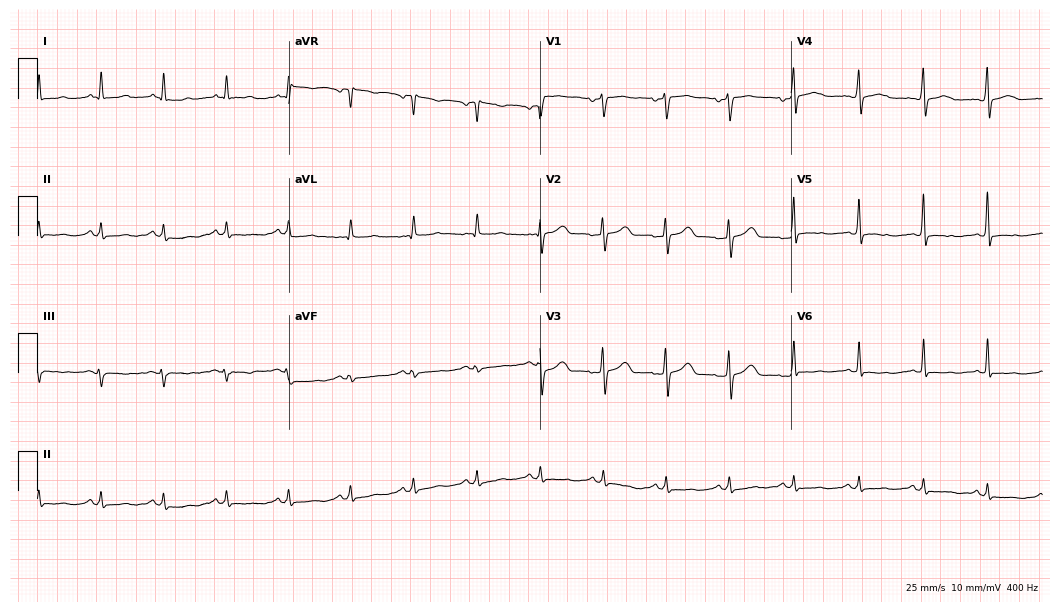
Electrocardiogram, a woman, 32 years old. Overall reading on record: normal ECG.